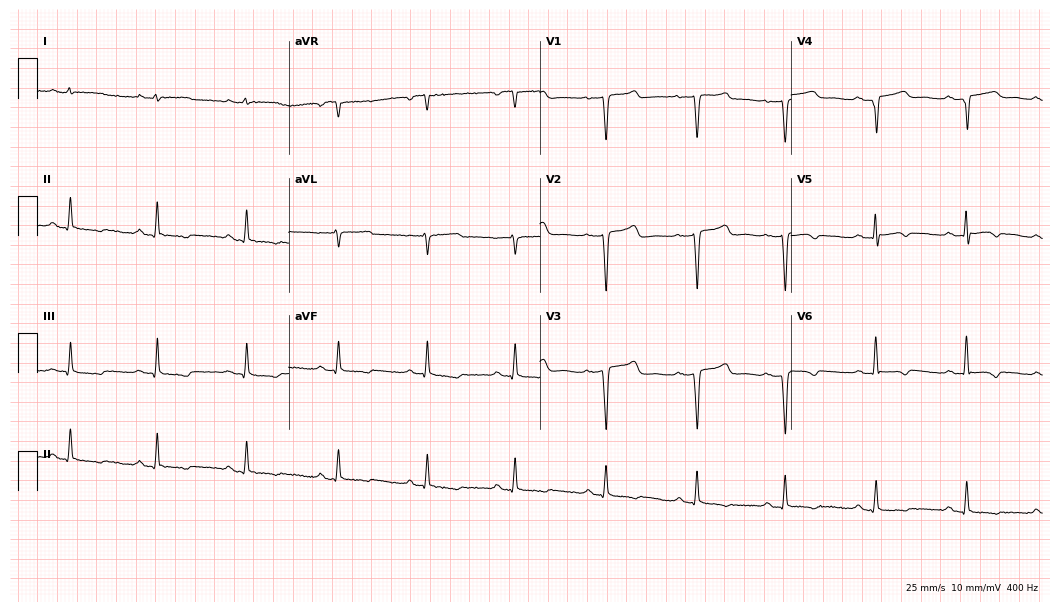
Standard 12-lead ECG recorded from a female patient, 52 years old. None of these six findings is recorded: first-degree AV block, right bundle branch block, left bundle branch block, sinus bradycardia, atrial fibrillation, sinus tachycardia. Only these six findings were labelled.